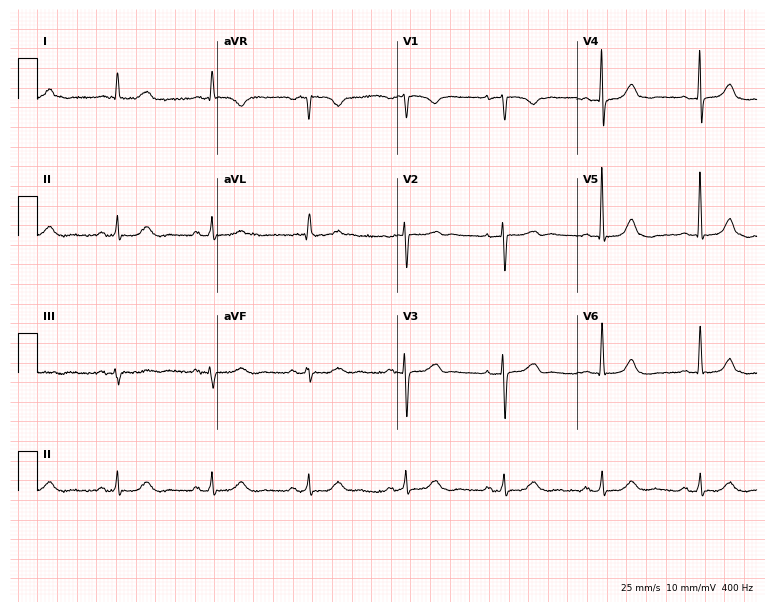
12-lead ECG (7.3-second recording at 400 Hz) from a female patient, 71 years old. Screened for six findings — first-degree AV block, right bundle branch block (RBBB), left bundle branch block (LBBB), sinus bradycardia, atrial fibrillation (AF), sinus tachycardia — none is recorded. Other findings, if any, are not listed.